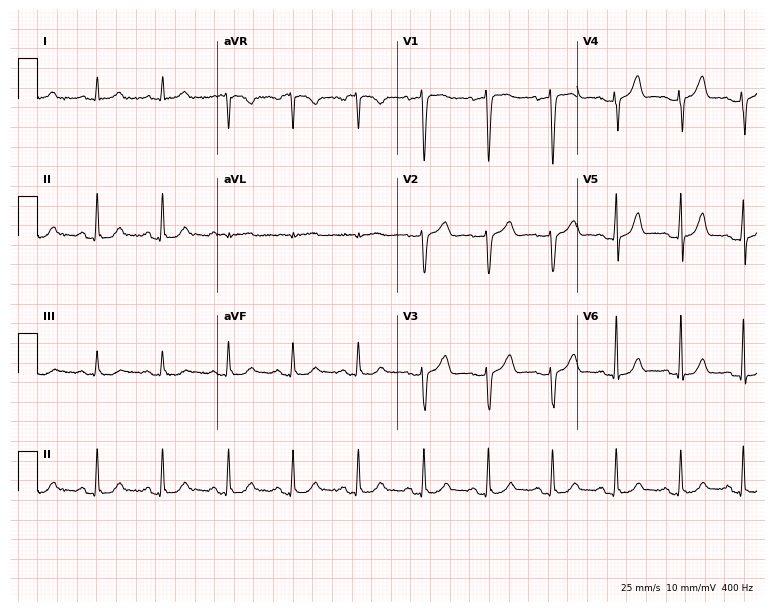
ECG (7.3-second recording at 400 Hz) — a male patient, 58 years old. Labelled as a normal ECG.